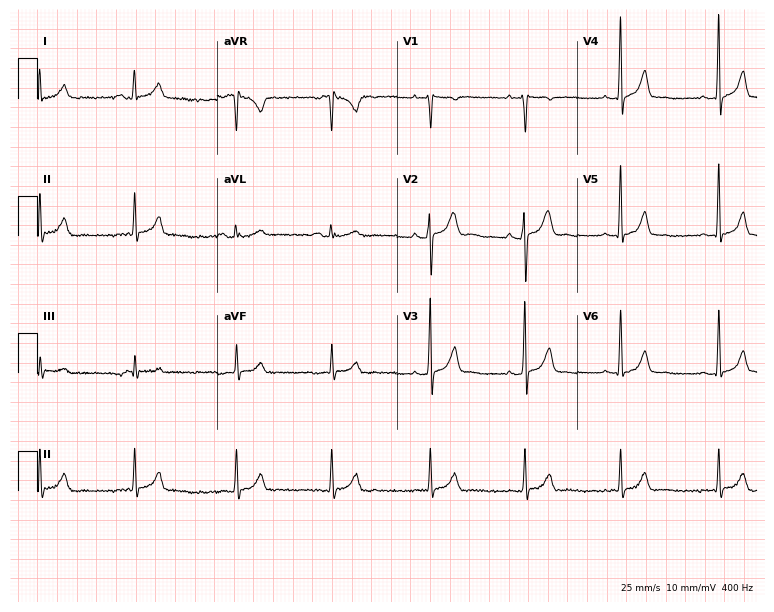
12-lead ECG from a 22-year-old man. Screened for six findings — first-degree AV block, right bundle branch block (RBBB), left bundle branch block (LBBB), sinus bradycardia, atrial fibrillation (AF), sinus tachycardia — none is recorded. Other findings, if any, are not listed.